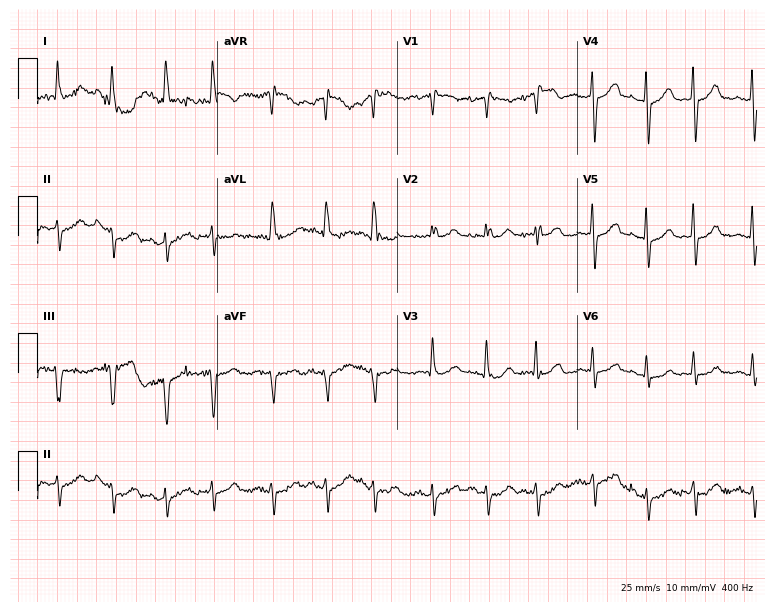
ECG (7.3-second recording at 400 Hz) — an 87-year-old male patient. Screened for six findings — first-degree AV block, right bundle branch block, left bundle branch block, sinus bradycardia, atrial fibrillation, sinus tachycardia — none is recorded. Other findings, if any, are not listed.